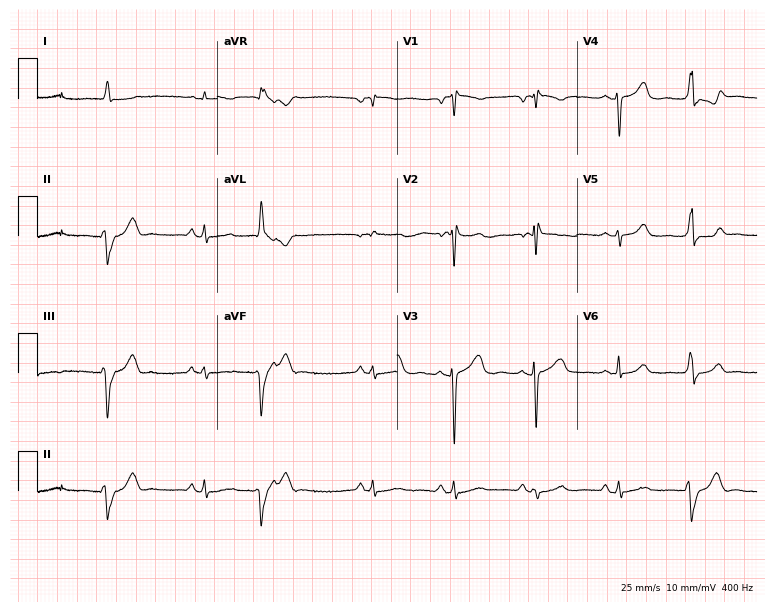
Resting 12-lead electrocardiogram. Patient: a female, 49 years old. None of these six findings is recorded: first-degree AV block, right bundle branch block, left bundle branch block, sinus bradycardia, atrial fibrillation, sinus tachycardia.